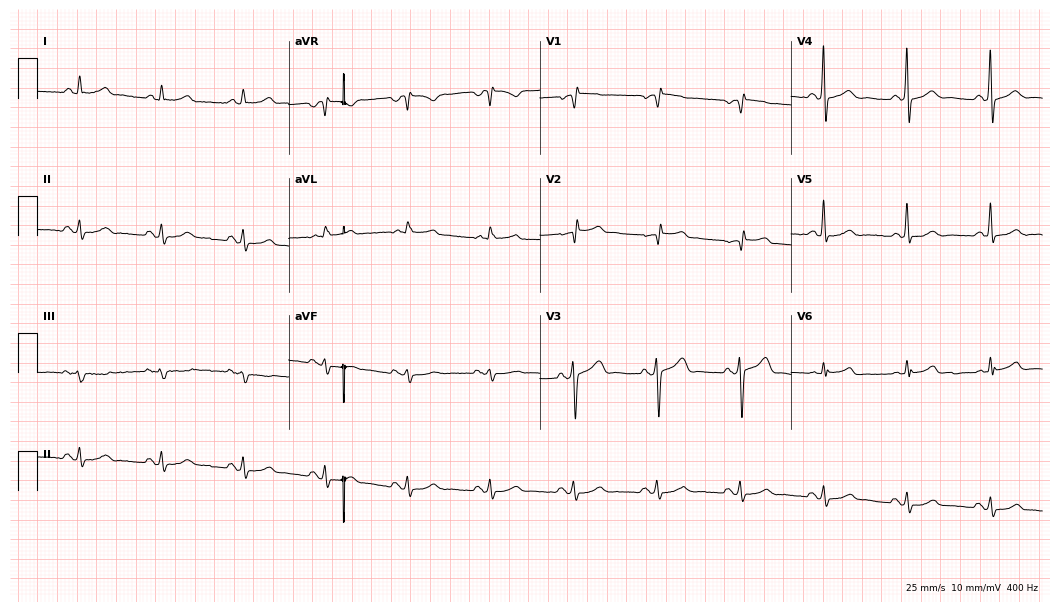
ECG (10.2-second recording at 400 Hz) — a 60-year-old man. Labelled as a normal ECG.